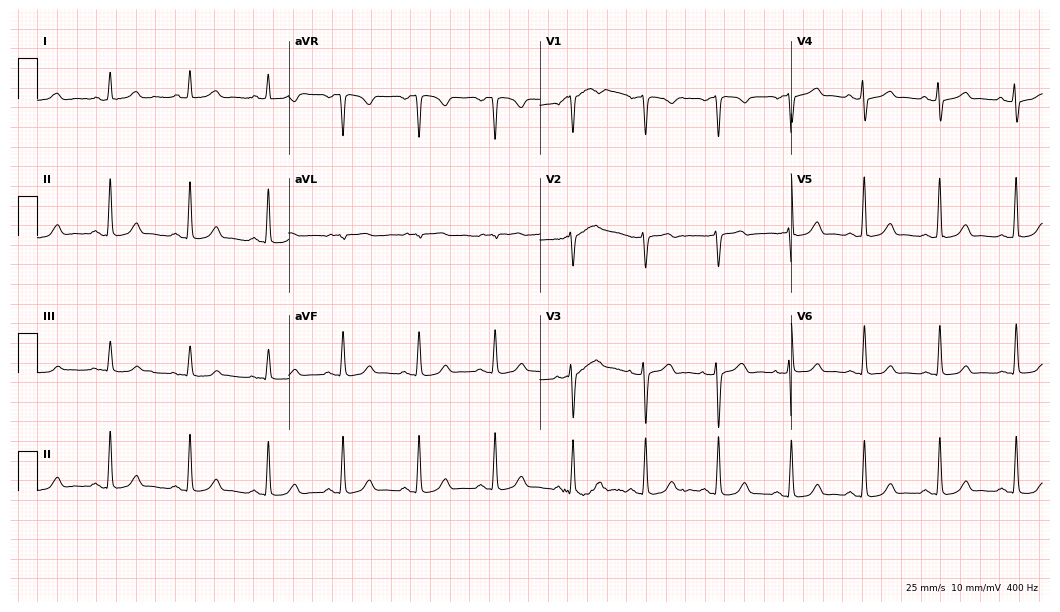
12-lead ECG (10.2-second recording at 400 Hz) from a 37-year-old female patient. Labelled as a normal ECG.